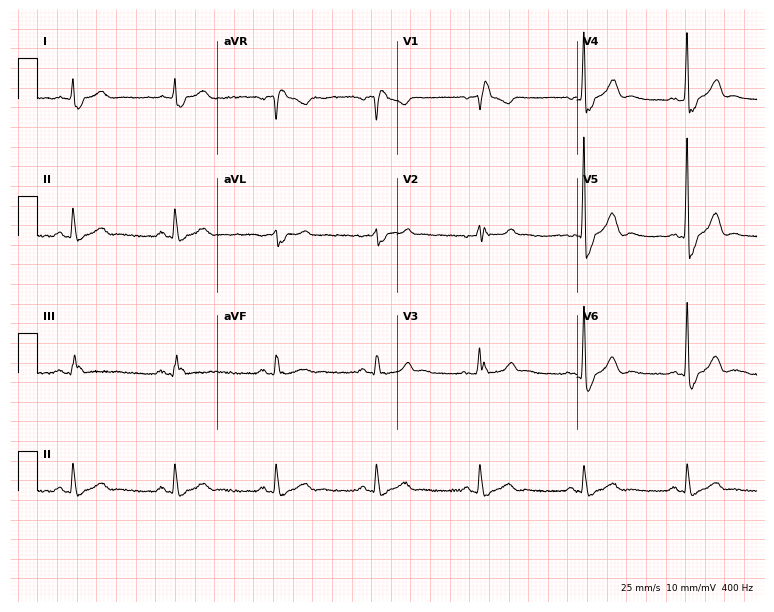
12-lead ECG from a 72-year-old male. Findings include right bundle branch block.